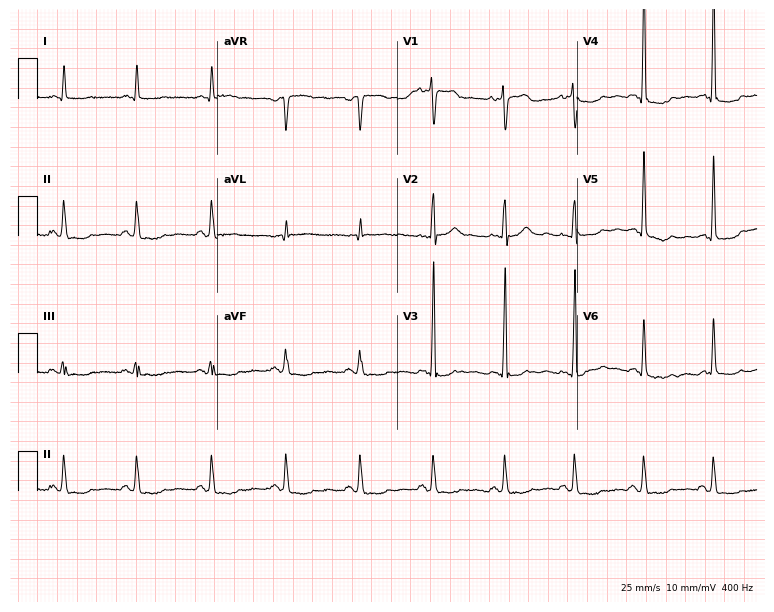
Resting 12-lead electrocardiogram (7.3-second recording at 400 Hz). Patient: a 73-year-old male. Read as a normal ECG.